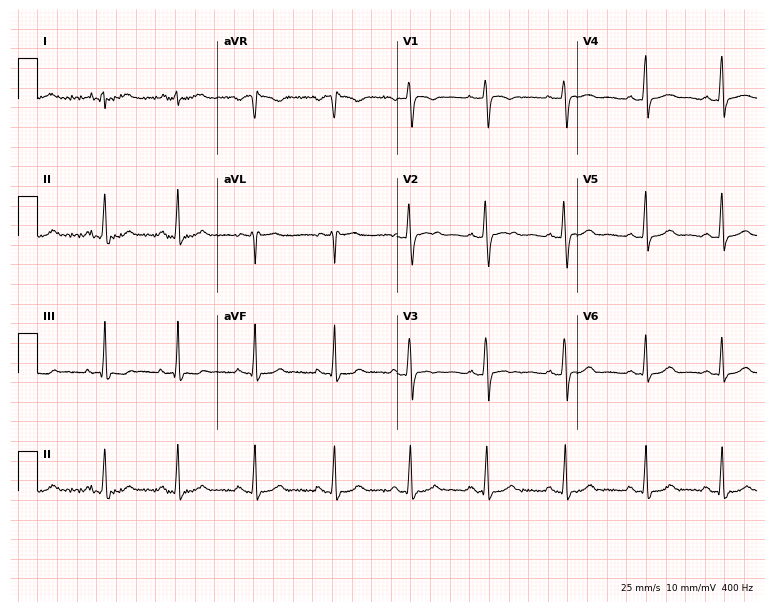
12-lead ECG (7.3-second recording at 400 Hz) from a female, 19 years old. Labelled as a normal ECG.